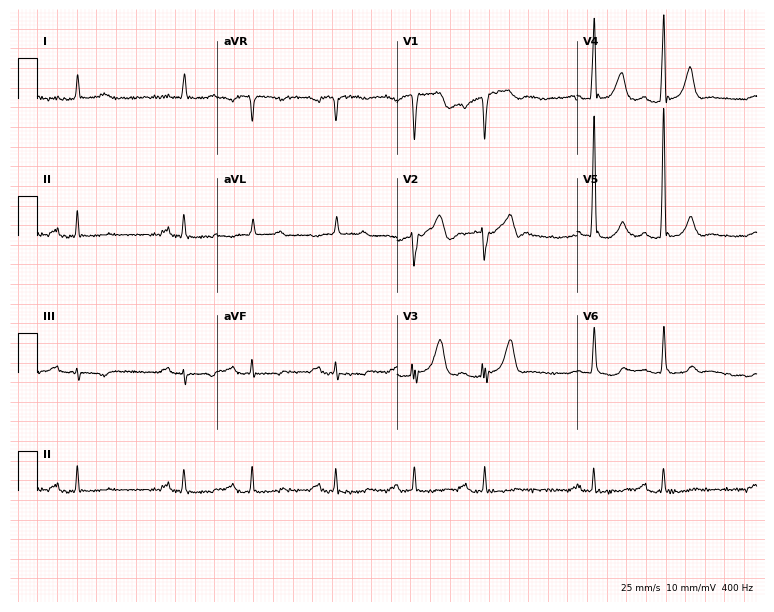
Electrocardiogram (7.3-second recording at 400 Hz), a 63-year-old man. Of the six screened findings (first-degree AV block, right bundle branch block (RBBB), left bundle branch block (LBBB), sinus bradycardia, atrial fibrillation (AF), sinus tachycardia), none is recorded.